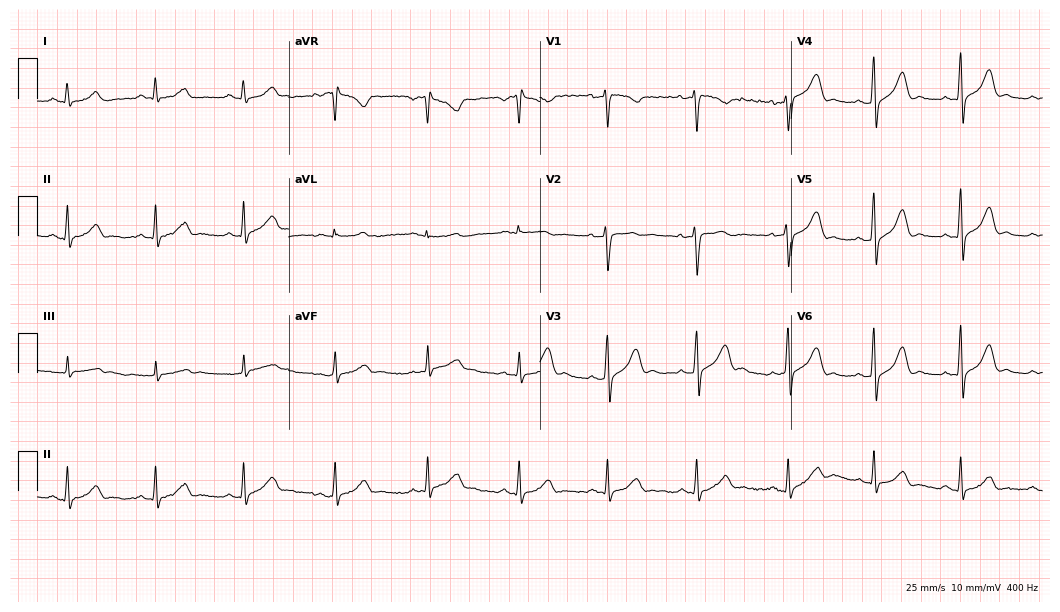
Electrocardiogram (10.2-second recording at 400 Hz), a 38-year-old female patient. Overall reading on record: normal ECG.